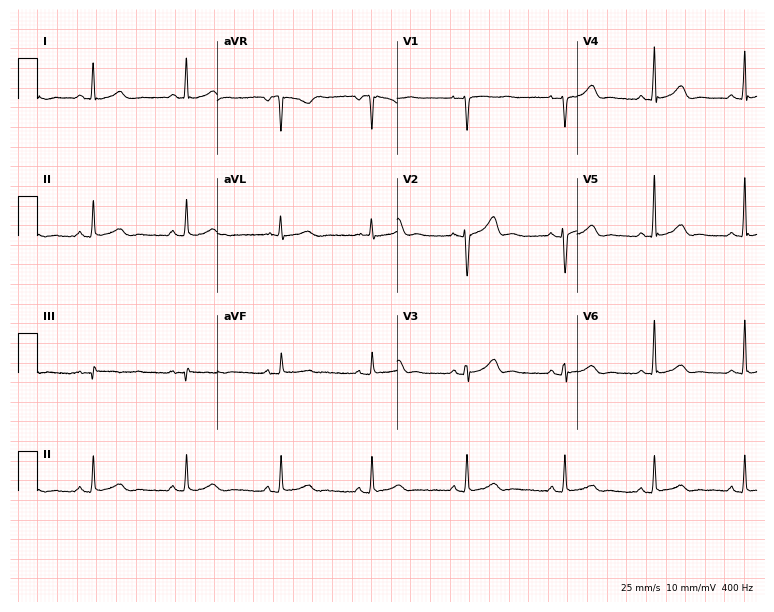
ECG (7.3-second recording at 400 Hz) — a 30-year-old female. Labelled as a normal ECG.